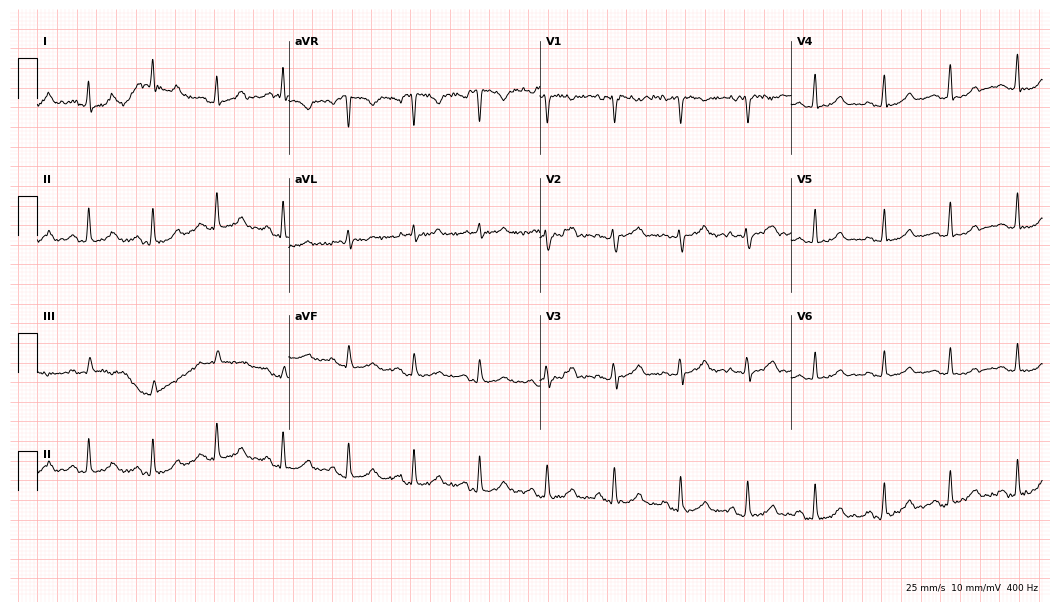
12-lead ECG from a man, 35 years old. Recorded interpretation: within normal limits.